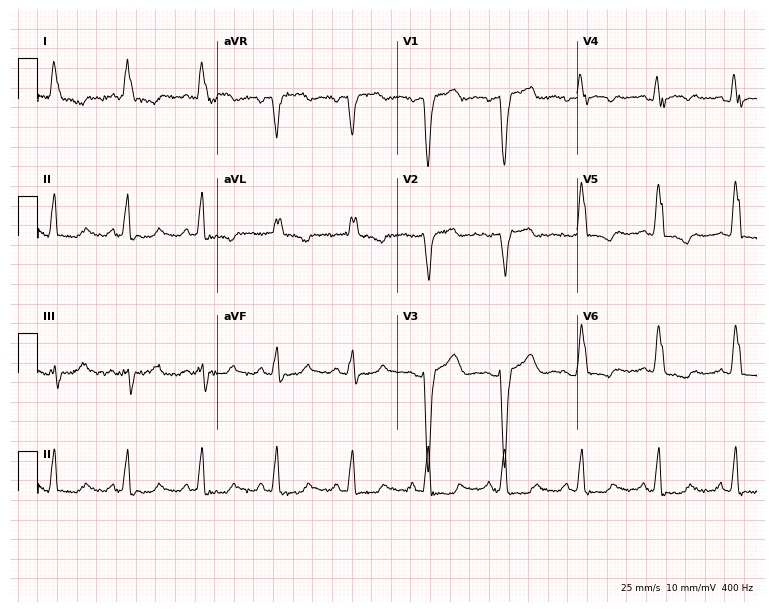
12-lead ECG from a woman, 83 years old. Findings include left bundle branch block (LBBB).